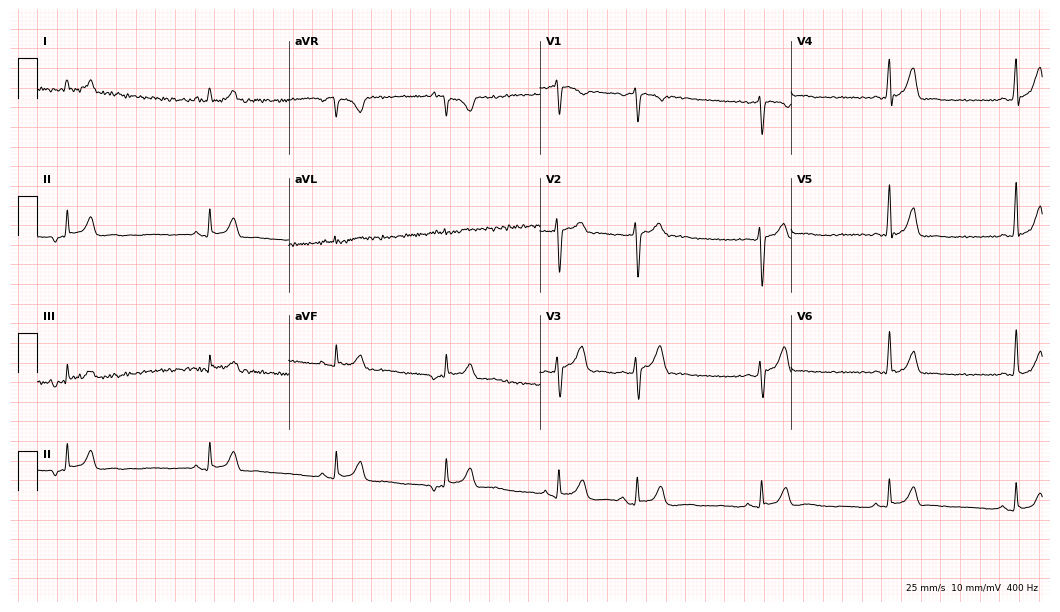
Electrocardiogram, a man, 36 years old. Interpretation includes sinus bradycardia (a sinus rate of 50 beats per minute or less).